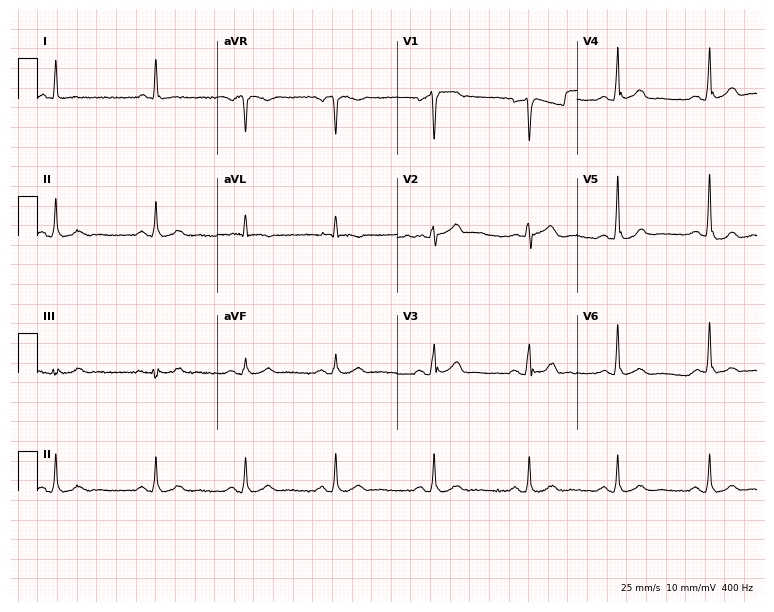
12-lead ECG (7.3-second recording at 400 Hz) from a 53-year-old male. Labelled as a normal ECG.